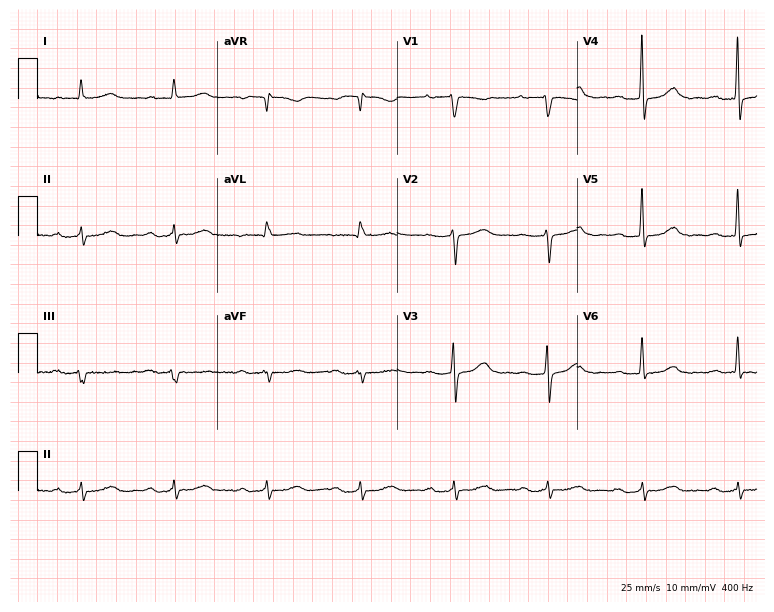
12-lead ECG from an 80-year-old female patient. Shows first-degree AV block.